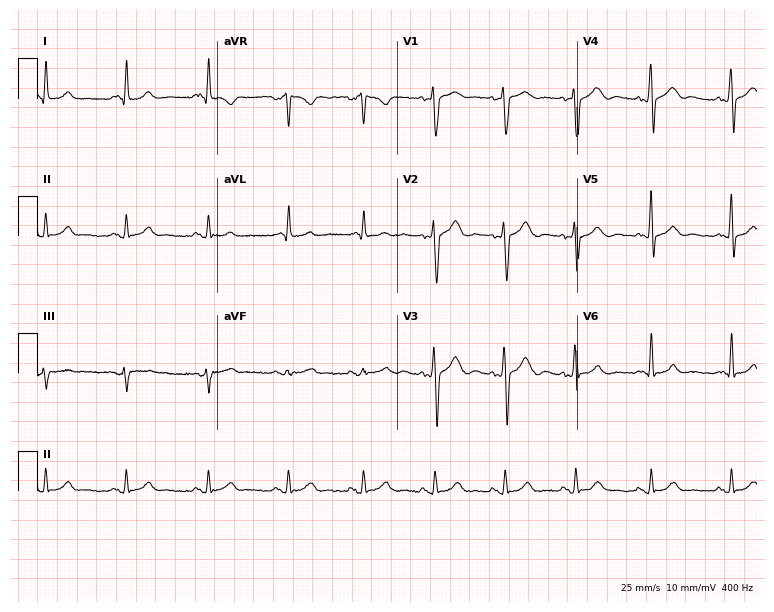
12-lead ECG from a male, 42 years old. Screened for six findings — first-degree AV block, right bundle branch block, left bundle branch block, sinus bradycardia, atrial fibrillation, sinus tachycardia — none is recorded.